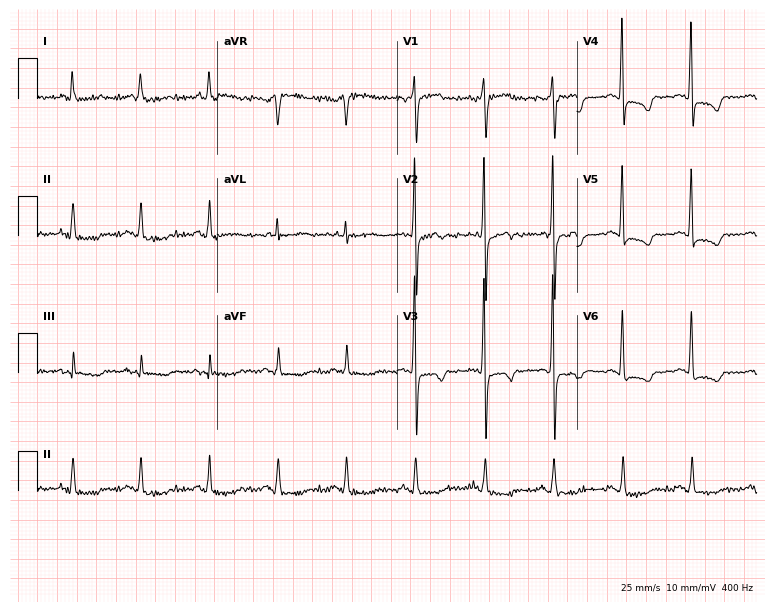
Standard 12-lead ECG recorded from a female, 84 years old (7.3-second recording at 400 Hz). None of these six findings is recorded: first-degree AV block, right bundle branch block, left bundle branch block, sinus bradycardia, atrial fibrillation, sinus tachycardia. Only these six findings were labelled.